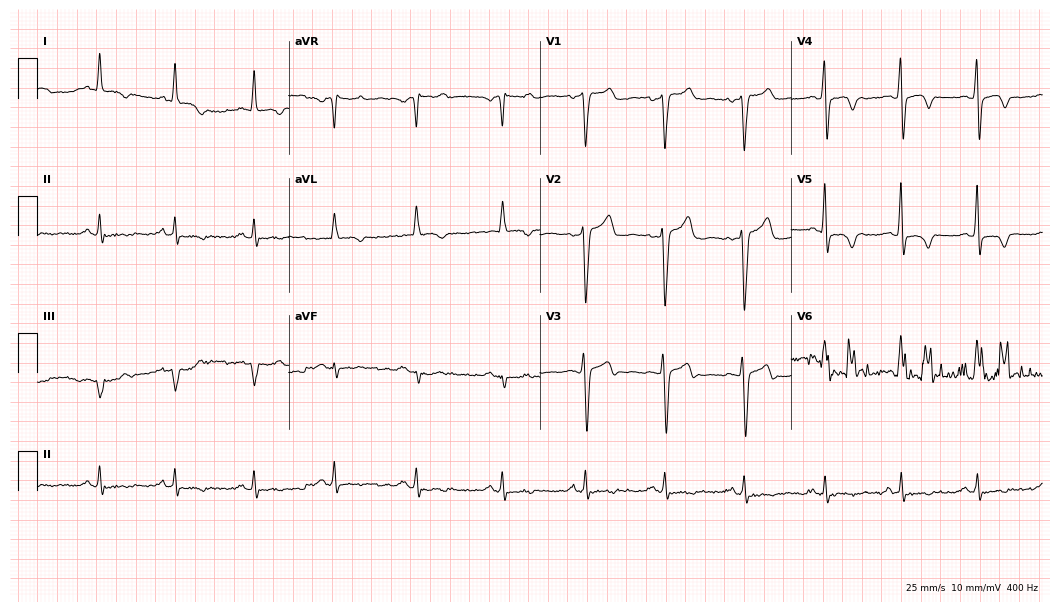
12-lead ECG from a 56-year-old man. Screened for six findings — first-degree AV block, right bundle branch block, left bundle branch block, sinus bradycardia, atrial fibrillation, sinus tachycardia — none is recorded. Findings outside these six are not listed.